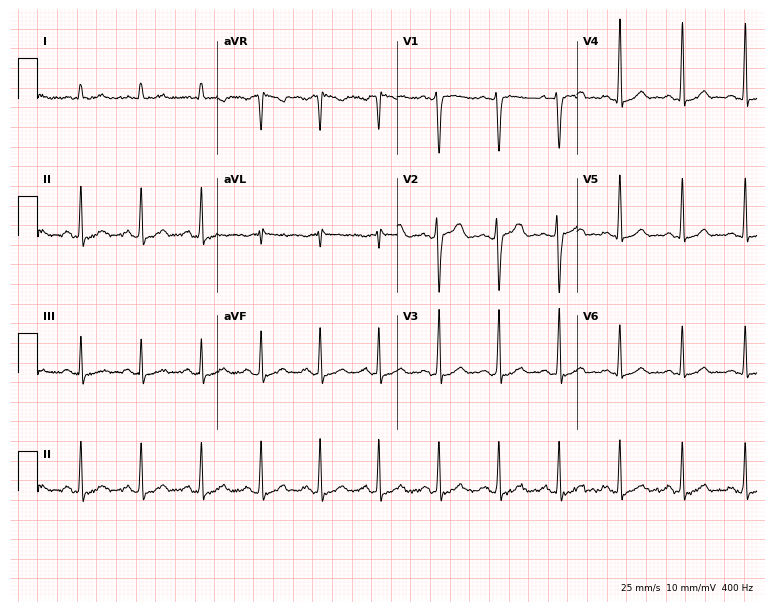
Standard 12-lead ECG recorded from a 38-year-old woman. Read as a normal ECG.